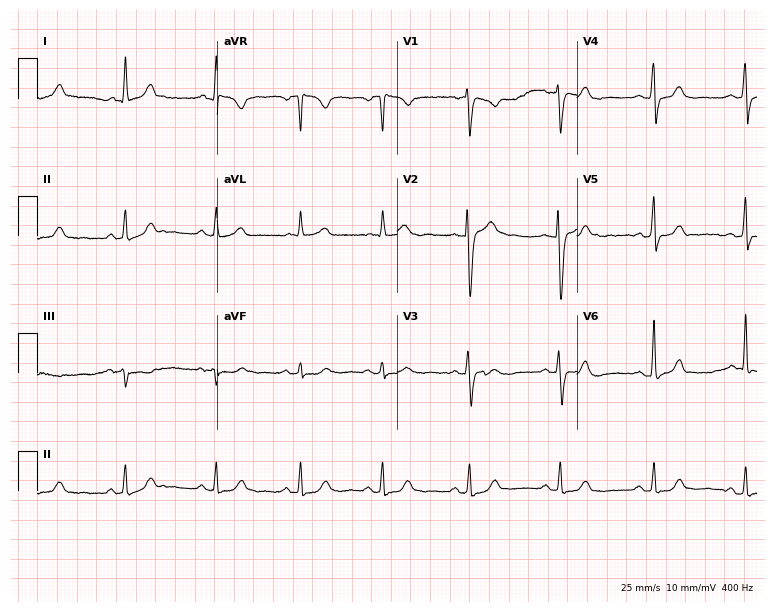
12-lead ECG from a woman, 61 years old (7.3-second recording at 400 Hz). No first-degree AV block, right bundle branch block, left bundle branch block, sinus bradycardia, atrial fibrillation or sinus tachycardia recorded for this tracing.